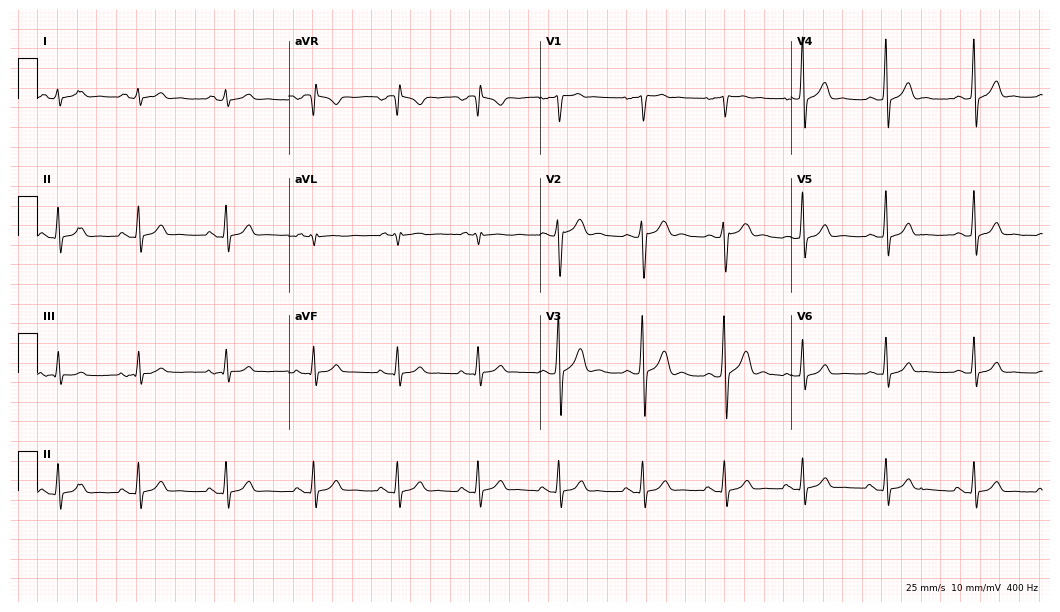
12-lead ECG (10.2-second recording at 400 Hz) from a man, 17 years old. Labelled as a normal ECG.